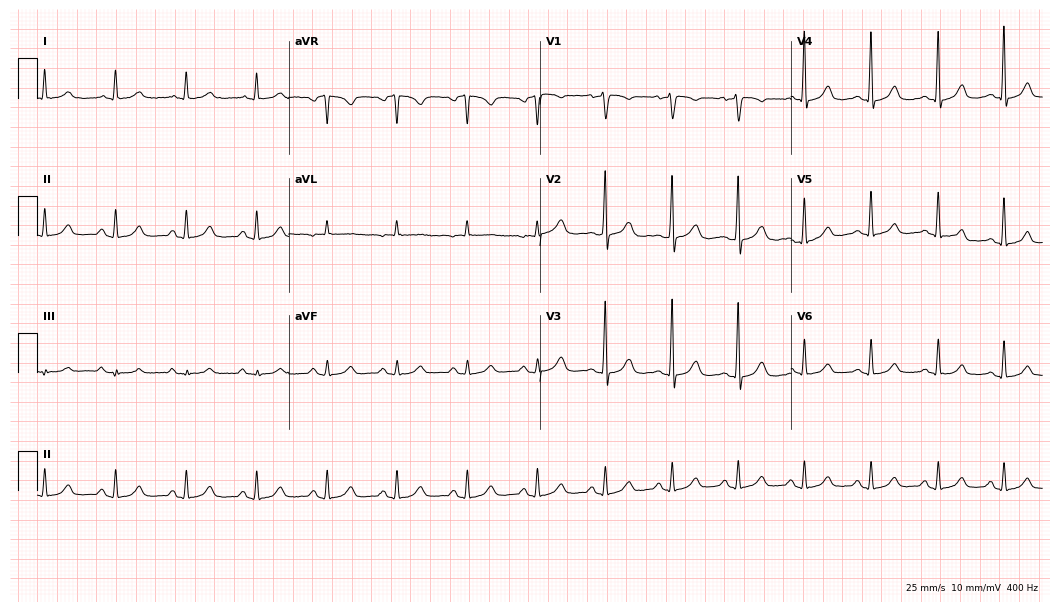
Resting 12-lead electrocardiogram (10.2-second recording at 400 Hz). Patient: a woman, 77 years old. Read as a normal ECG.